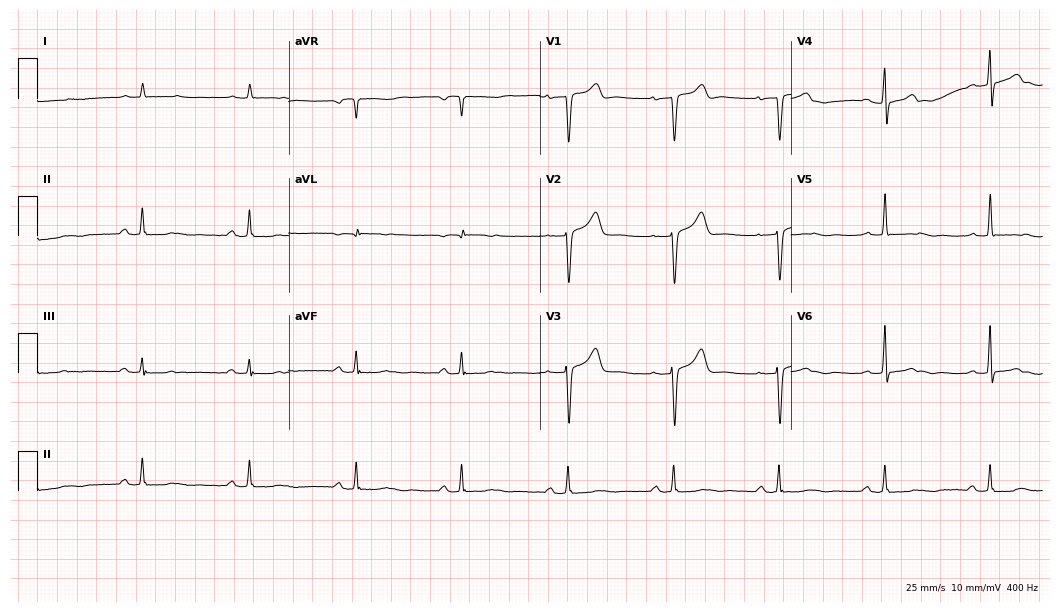
12-lead ECG from a man, 81 years old. Screened for six findings — first-degree AV block, right bundle branch block (RBBB), left bundle branch block (LBBB), sinus bradycardia, atrial fibrillation (AF), sinus tachycardia — none is recorded. Other findings, if any, are not listed.